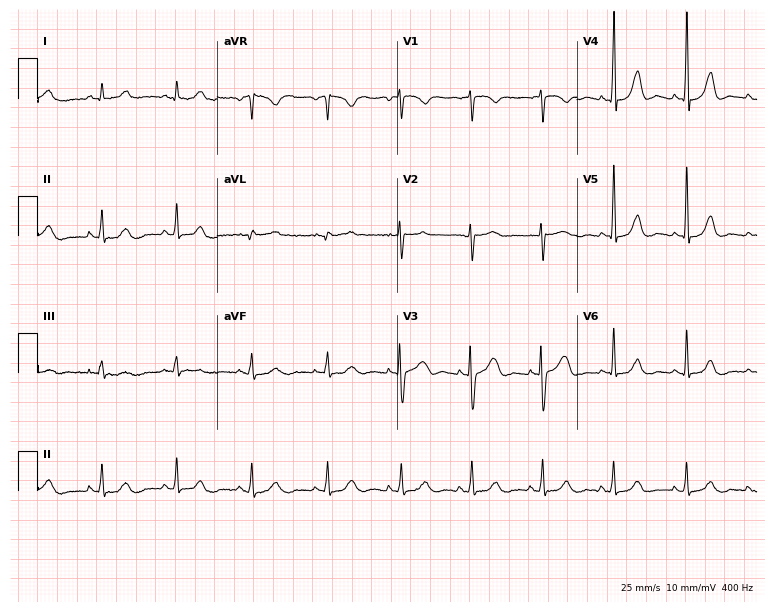
ECG — a female patient, 39 years old. Labelled as a normal ECG.